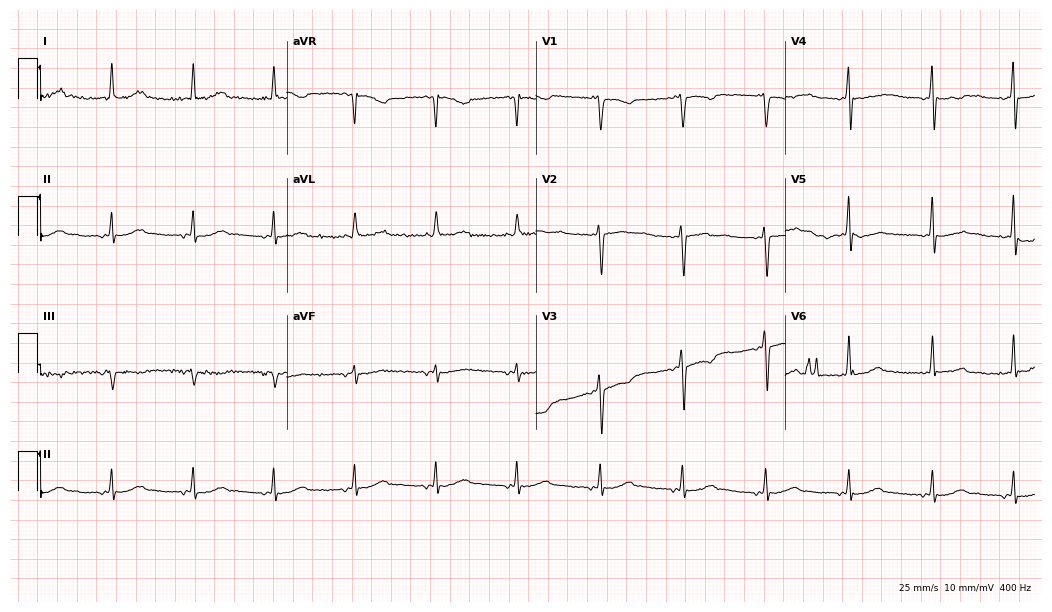
12-lead ECG (10.2-second recording at 400 Hz) from a female, 57 years old. Screened for six findings — first-degree AV block, right bundle branch block, left bundle branch block, sinus bradycardia, atrial fibrillation, sinus tachycardia — none is recorded. Other findings, if any, are not listed.